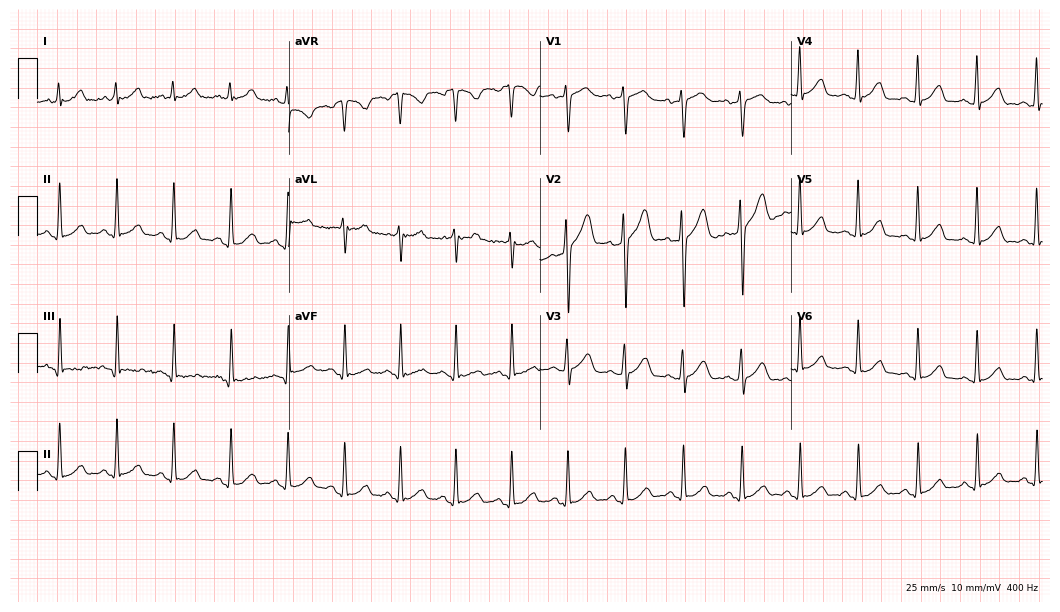
12-lead ECG from a male, 28 years old. Labelled as a normal ECG.